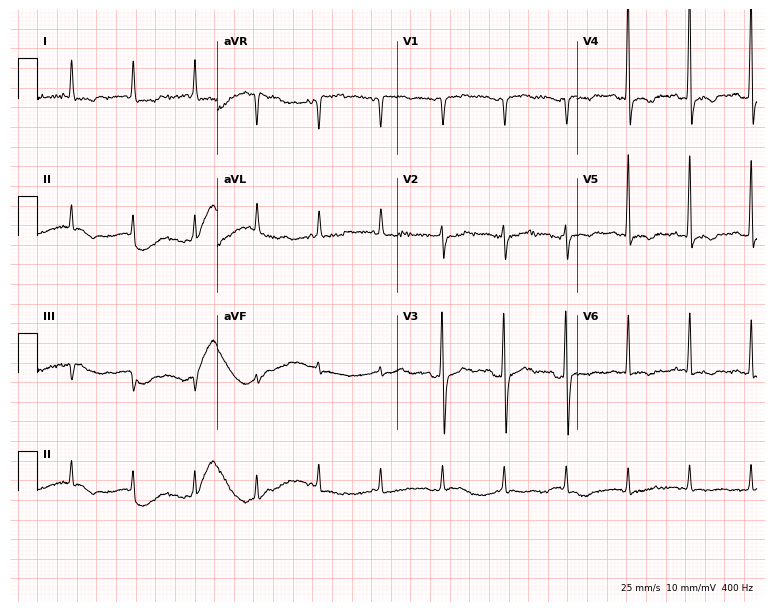
Standard 12-lead ECG recorded from a female, 72 years old (7.3-second recording at 400 Hz). None of these six findings is recorded: first-degree AV block, right bundle branch block, left bundle branch block, sinus bradycardia, atrial fibrillation, sinus tachycardia.